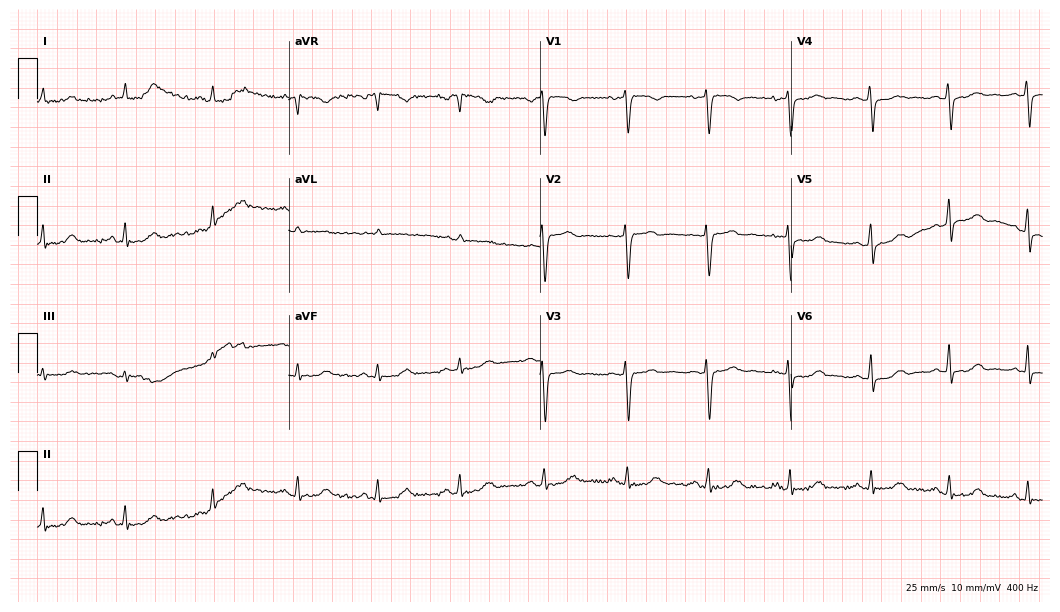
Resting 12-lead electrocardiogram (10.2-second recording at 400 Hz). Patient: a female, 45 years old. Read as a normal ECG.